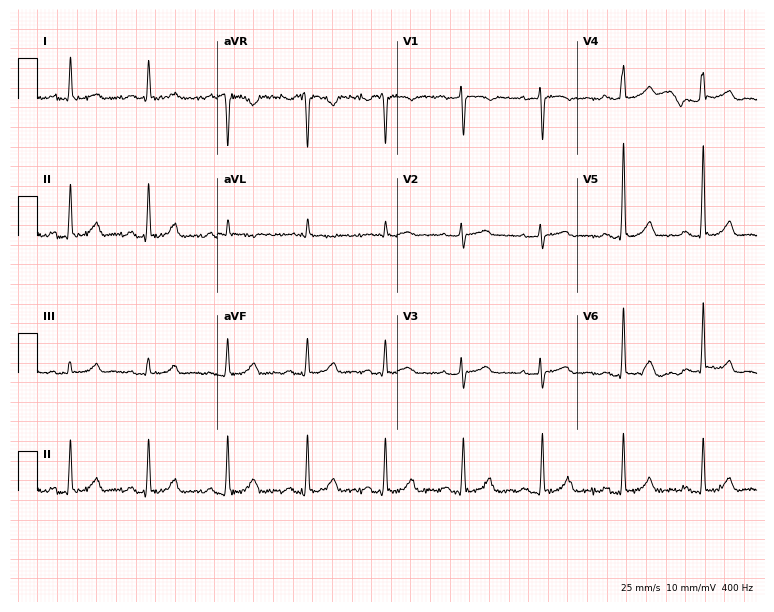
Resting 12-lead electrocardiogram (7.3-second recording at 400 Hz). Patient: a female, 54 years old. Read as a normal ECG.